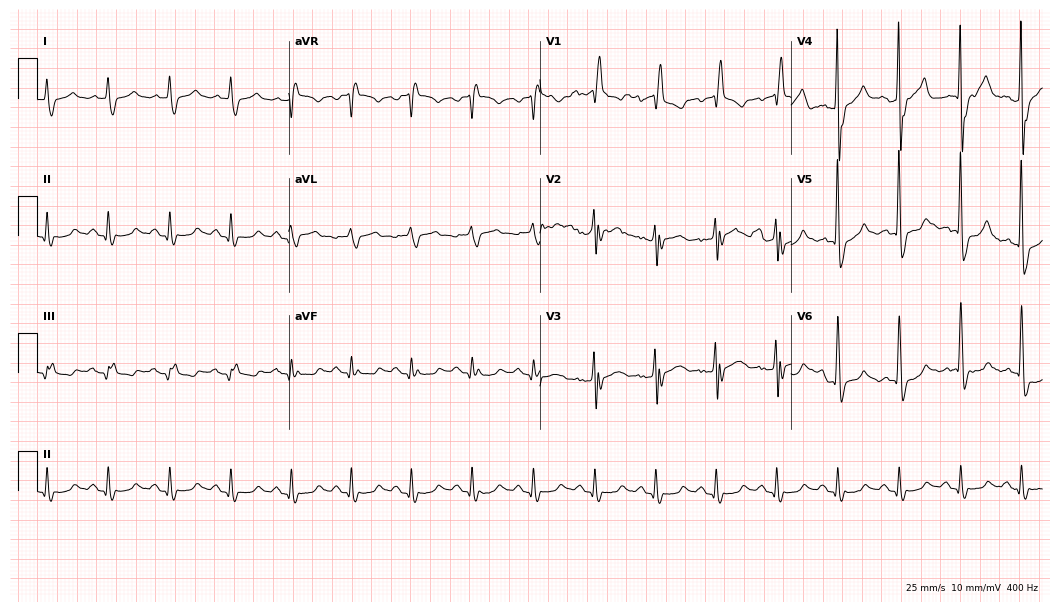
Resting 12-lead electrocardiogram (10.2-second recording at 400 Hz). Patient: a 68-year-old male. The tracing shows right bundle branch block (RBBB).